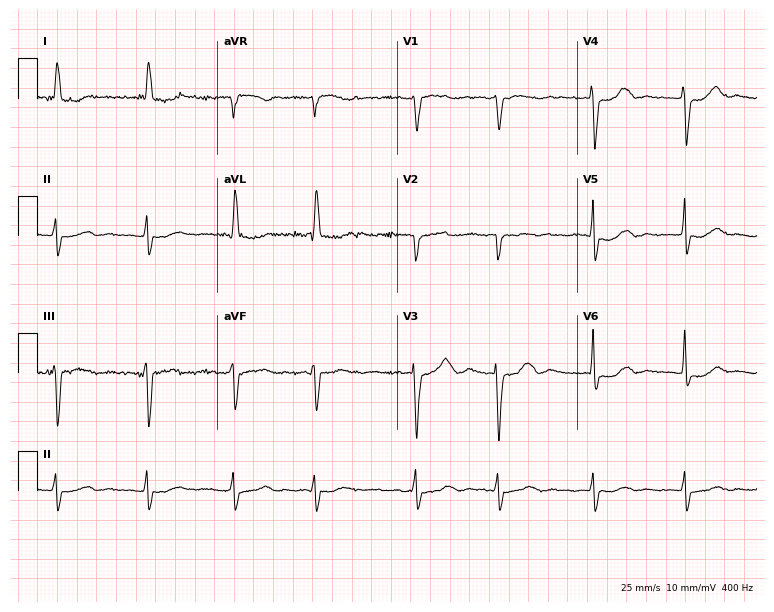
ECG — a female patient, 82 years old. Findings include atrial fibrillation.